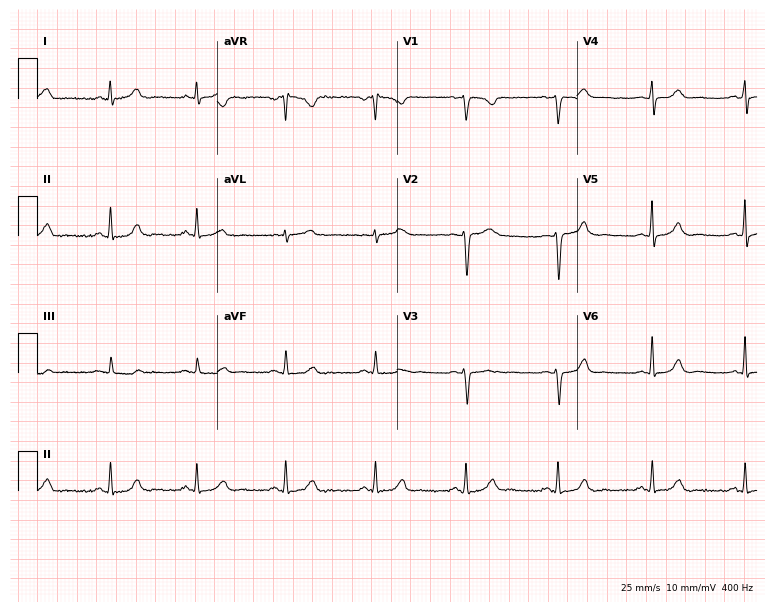
Electrocardiogram, a female patient, 46 years old. Of the six screened findings (first-degree AV block, right bundle branch block (RBBB), left bundle branch block (LBBB), sinus bradycardia, atrial fibrillation (AF), sinus tachycardia), none is recorded. Other findings, if any, are not listed.